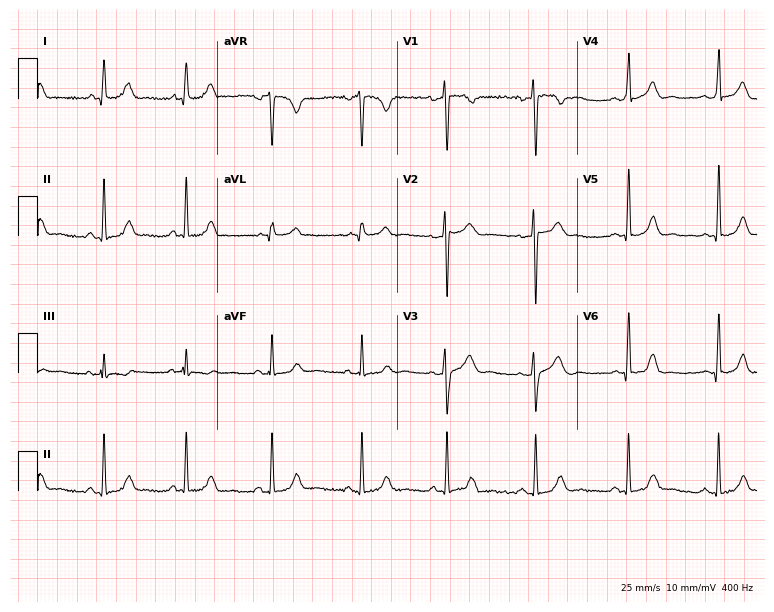
ECG — a woman, 42 years old. Labelled as a normal ECG.